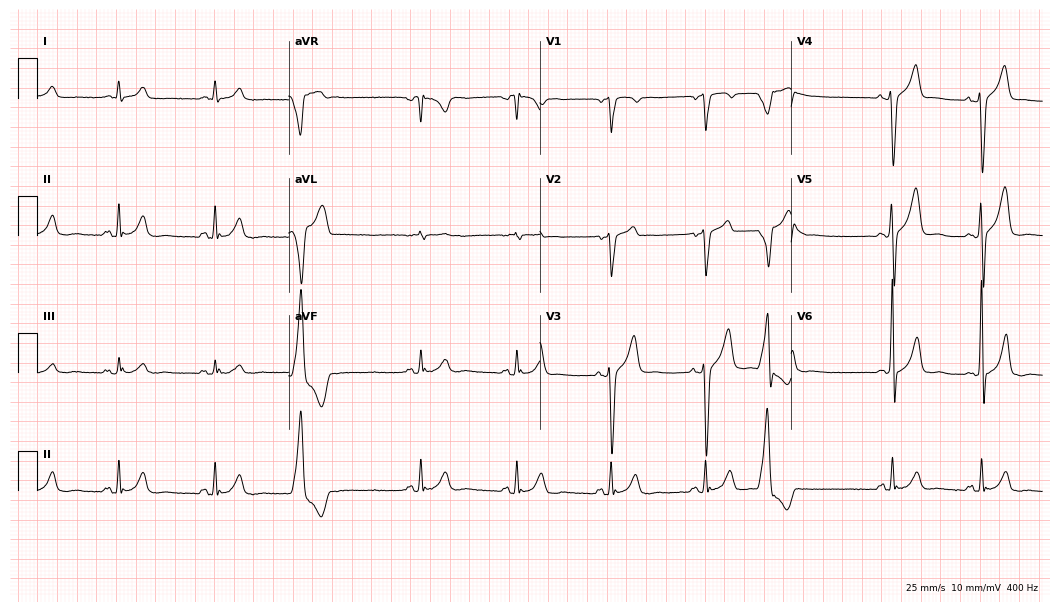
Electrocardiogram (10.2-second recording at 400 Hz), a 60-year-old man. Of the six screened findings (first-degree AV block, right bundle branch block, left bundle branch block, sinus bradycardia, atrial fibrillation, sinus tachycardia), none is recorded.